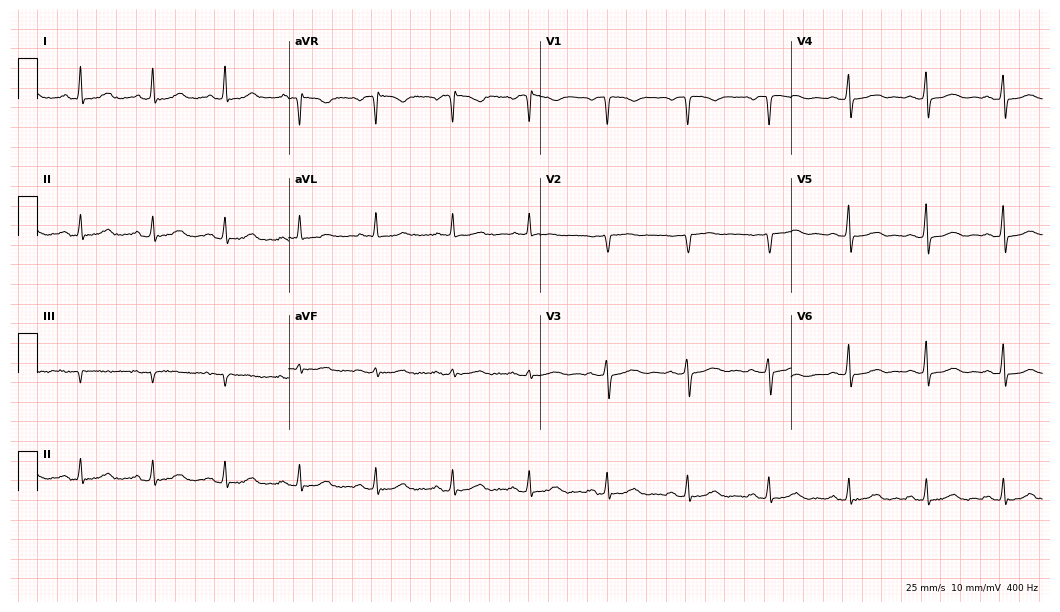
Standard 12-lead ECG recorded from a woman, 37 years old (10.2-second recording at 400 Hz). Read as a normal ECG.